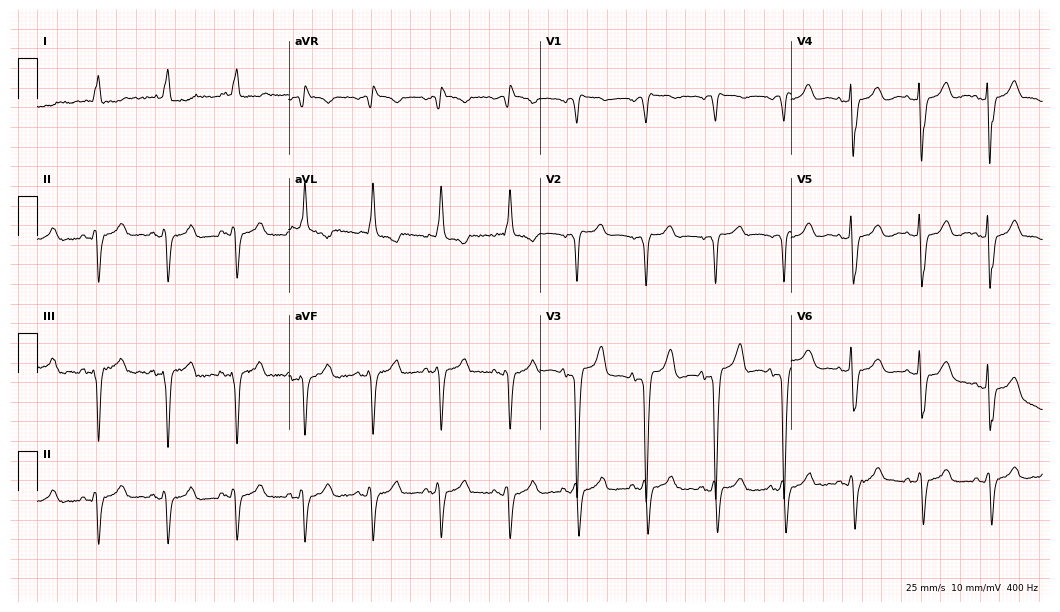
ECG — an 80-year-old female. Screened for six findings — first-degree AV block, right bundle branch block (RBBB), left bundle branch block (LBBB), sinus bradycardia, atrial fibrillation (AF), sinus tachycardia — none is recorded.